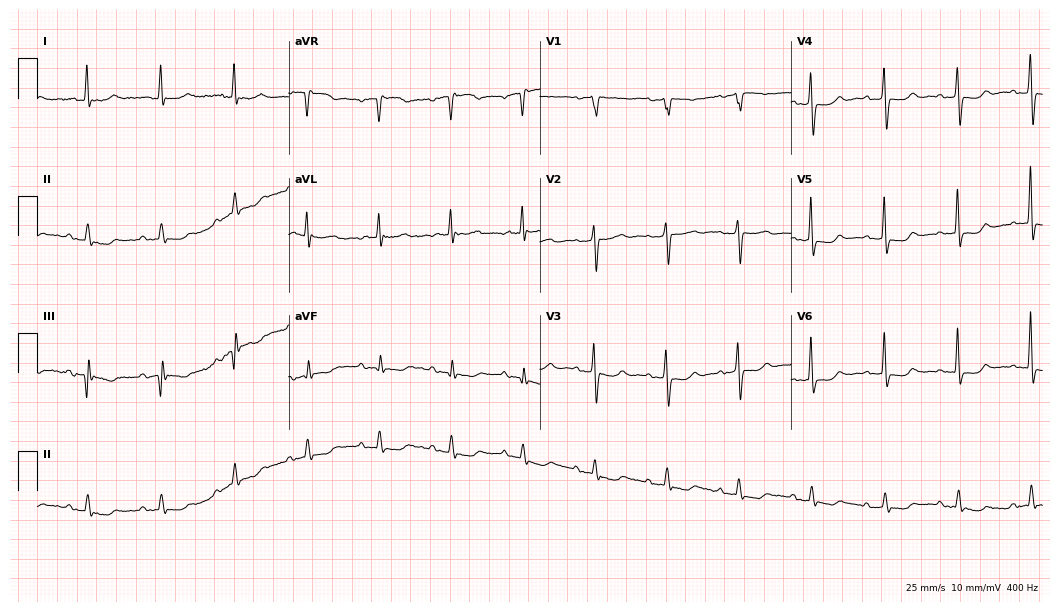
Electrocardiogram (10.2-second recording at 400 Hz), an 87-year-old female. Of the six screened findings (first-degree AV block, right bundle branch block (RBBB), left bundle branch block (LBBB), sinus bradycardia, atrial fibrillation (AF), sinus tachycardia), none is recorded. Other findings, if any, are not listed.